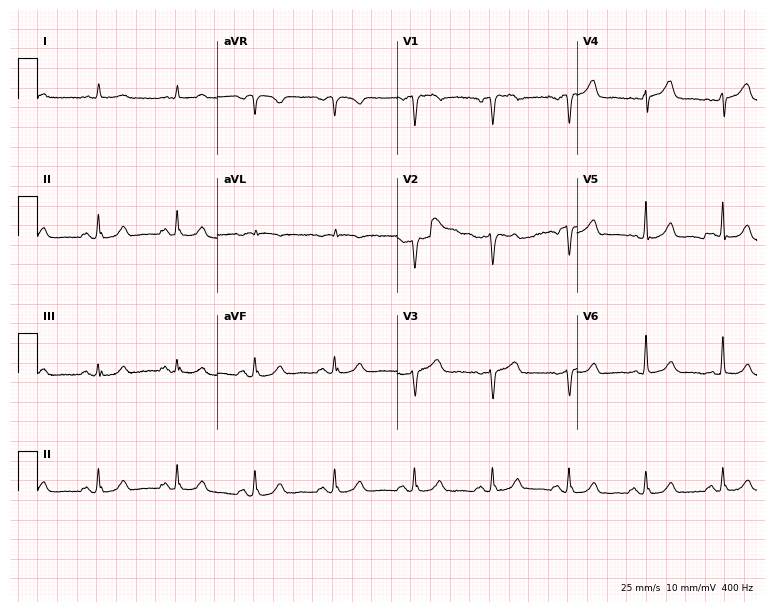
12-lead ECG from a 72-year-old male patient (7.3-second recording at 400 Hz). No first-degree AV block, right bundle branch block (RBBB), left bundle branch block (LBBB), sinus bradycardia, atrial fibrillation (AF) or sinus tachycardia recorded for this tracing. Findings outside these six are not listed.